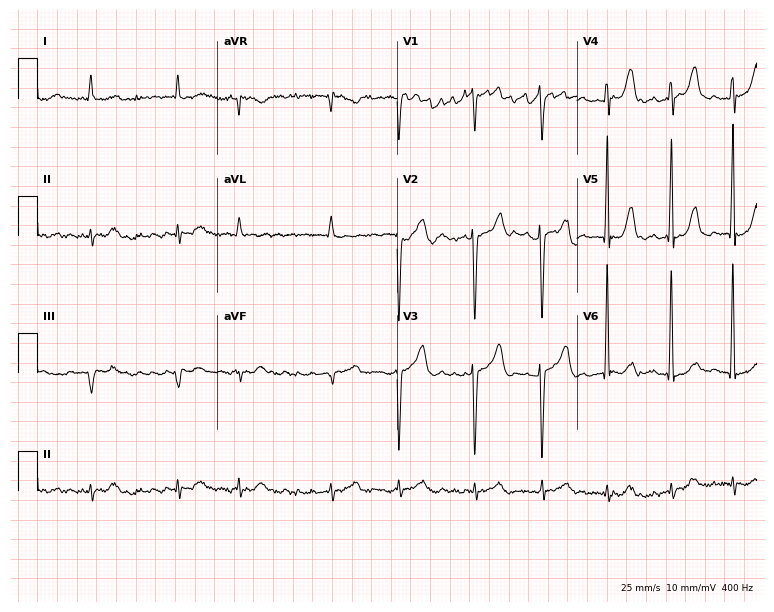
Standard 12-lead ECG recorded from a 77-year-old woman. The tracing shows atrial fibrillation (AF).